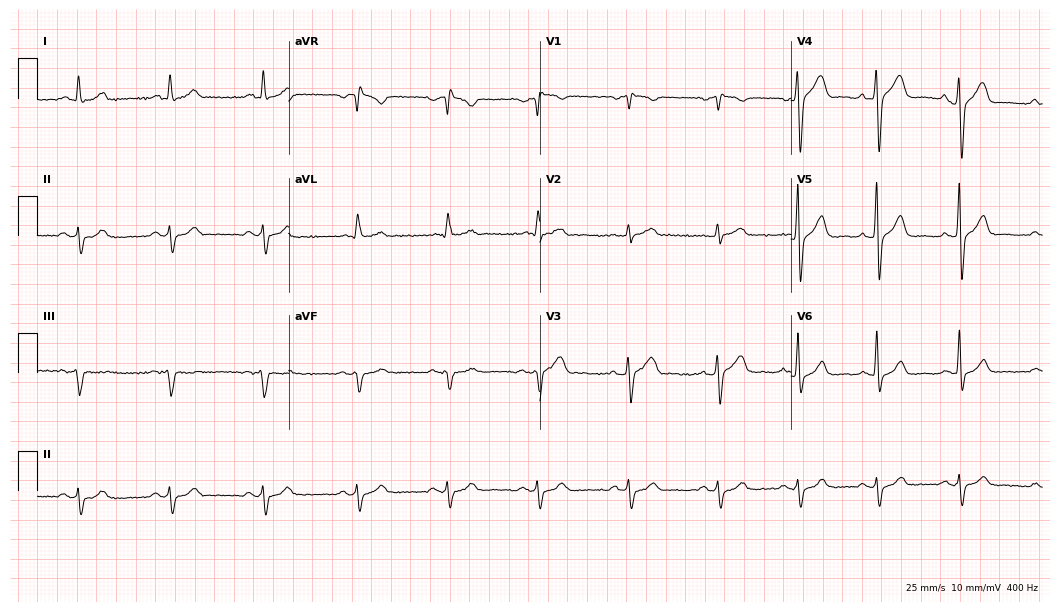
12-lead ECG (10.2-second recording at 400 Hz) from a man, 53 years old. Screened for six findings — first-degree AV block, right bundle branch block (RBBB), left bundle branch block (LBBB), sinus bradycardia, atrial fibrillation (AF), sinus tachycardia — none is recorded. Findings outside these six are not listed.